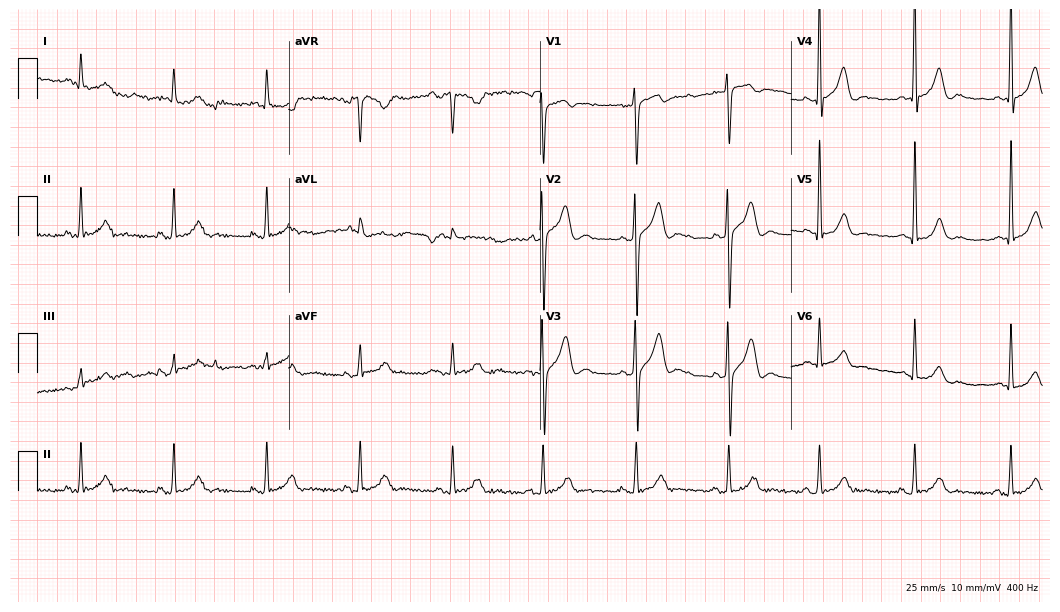
Electrocardiogram, a 21-year-old male patient. Overall reading on record: normal ECG.